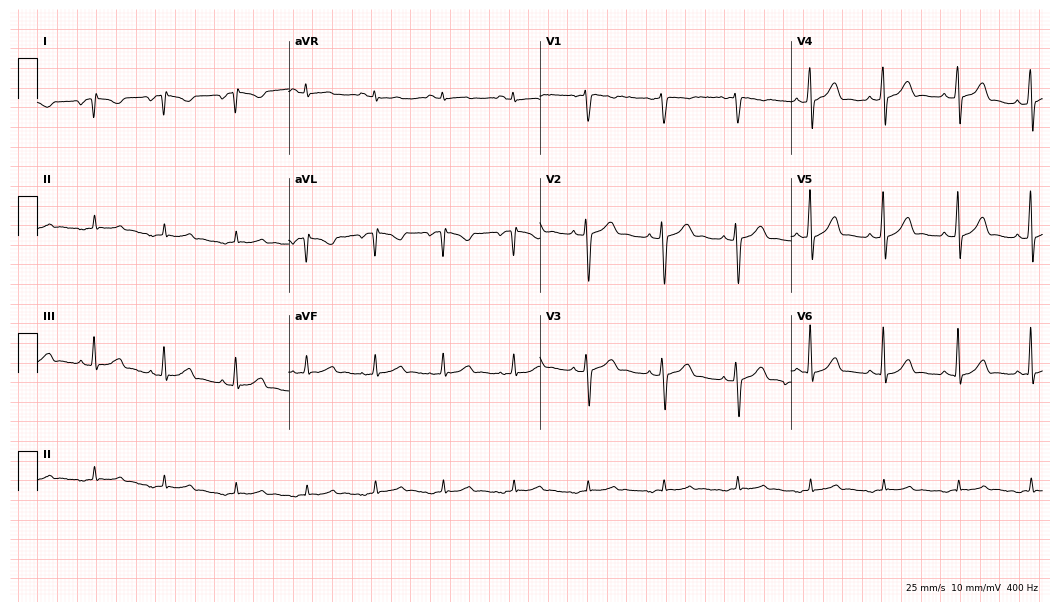
12-lead ECG from a female patient, 24 years old (10.2-second recording at 400 Hz). No first-degree AV block, right bundle branch block, left bundle branch block, sinus bradycardia, atrial fibrillation or sinus tachycardia recorded for this tracing. Only these six findings were labelled.